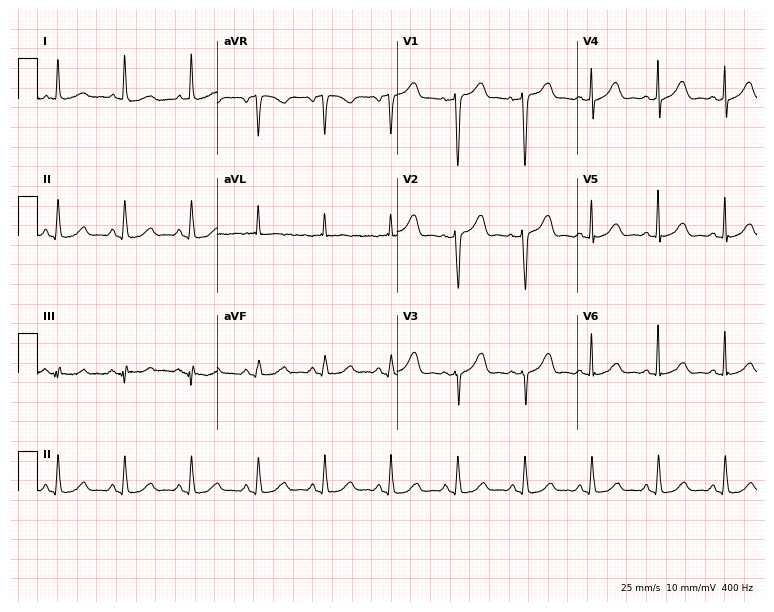
Electrocardiogram, an 85-year-old female. Overall reading on record: normal ECG.